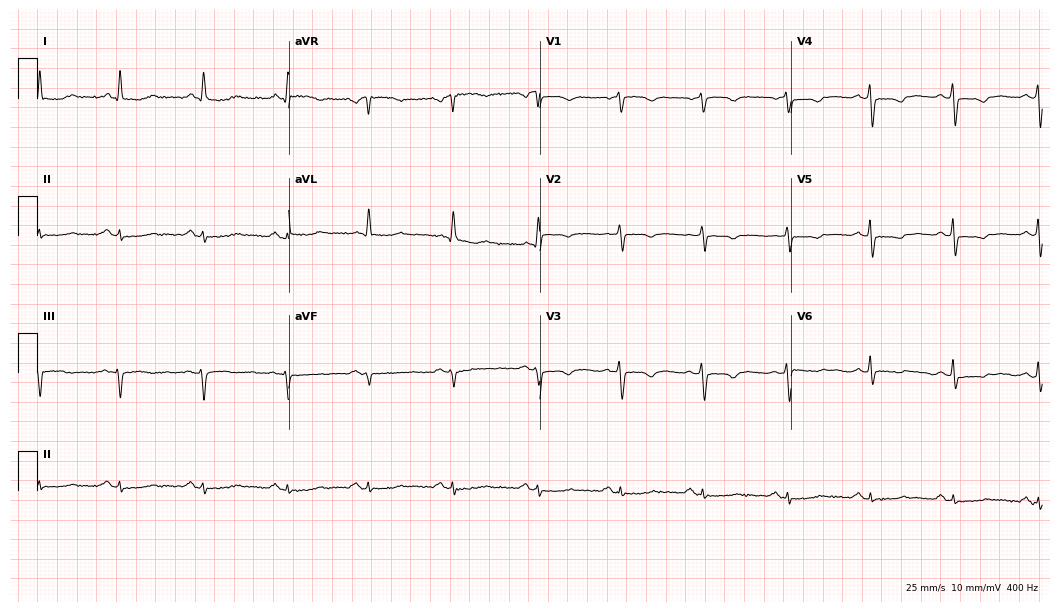
12-lead ECG from a 78-year-old female. No first-degree AV block, right bundle branch block (RBBB), left bundle branch block (LBBB), sinus bradycardia, atrial fibrillation (AF) or sinus tachycardia recorded for this tracing. Findings outside these six are not listed.